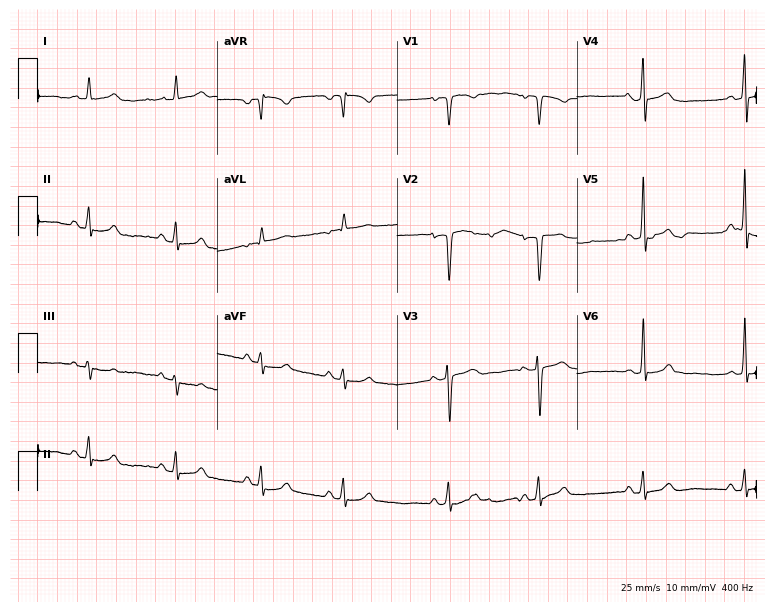
Resting 12-lead electrocardiogram (7.3-second recording at 400 Hz). Patient: a female, 34 years old. None of these six findings is recorded: first-degree AV block, right bundle branch block, left bundle branch block, sinus bradycardia, atrial fibrillation, sinus tachycardia. Findings outside these six are not listed.